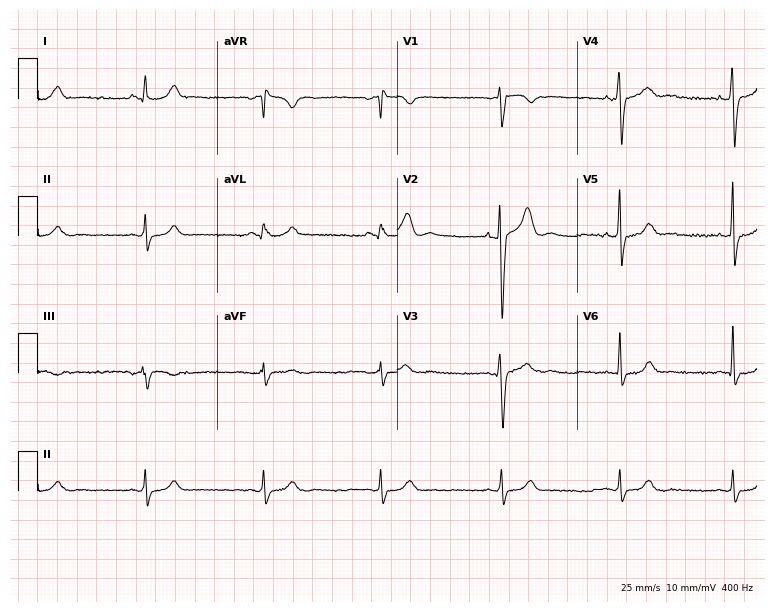
Resting 12-lead electrocardiogram. Patient: a 29-year-old male. None of these six findings is recorded: first-degree AV block, right bundle branch block, left bundle branch block, sinus bradycardia, atrial fibrillation, sinus tachycardia. Other findings, if any, are not listed.